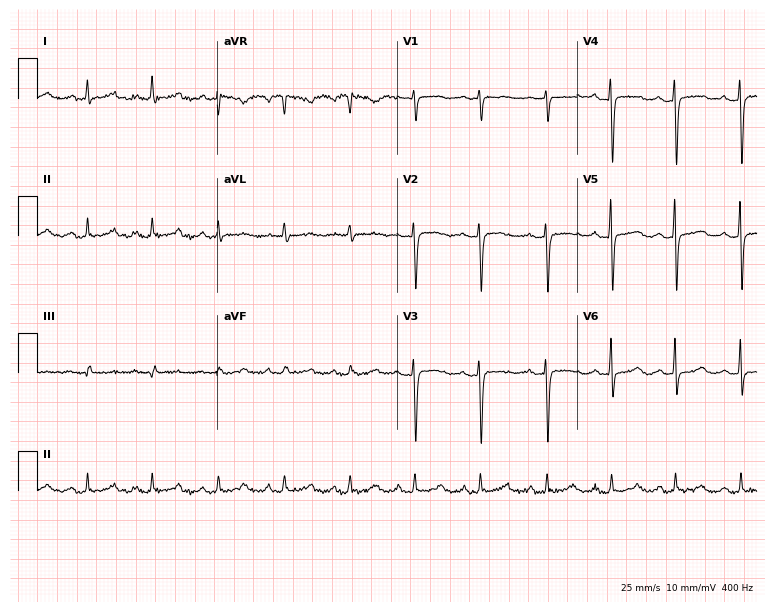
Standard 12-lead ECG recorded from a female, 39 years old (7.3-second recording at 400 Hz). None of these six findings is recorded: first-degree AV block, right bundle branch block, left bundle branch block, sinus bradycardia, atrial fibrillation, sinus tachycardia.